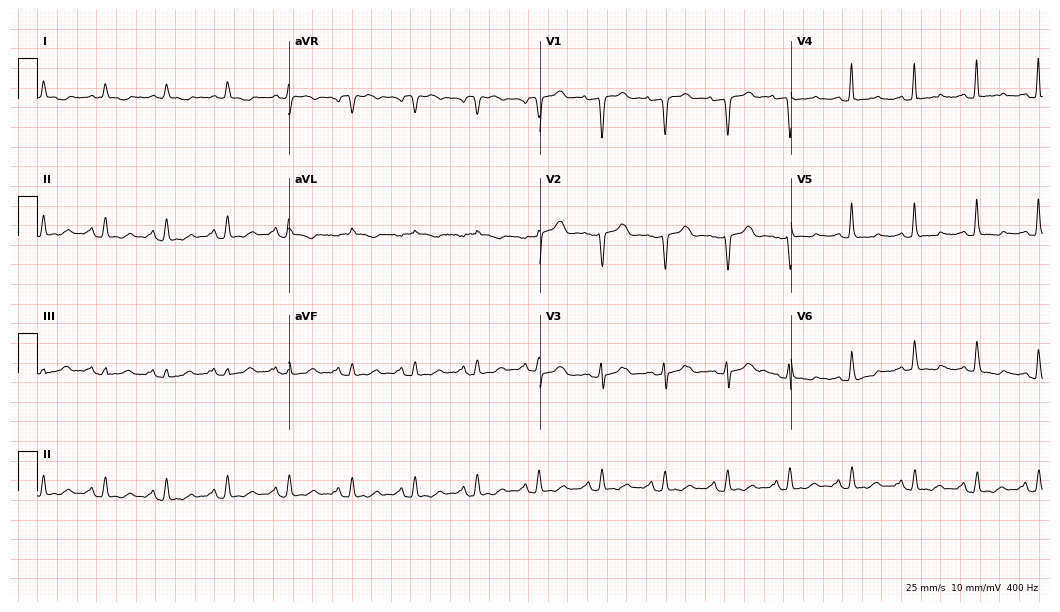
Standard 12-lead ECG recorded from a female patient, 66 years old. None of these six findings is recorded: first-degree AV block, right bundle branch block, left bundle branch block, sinus bradycardia, atrial fibrillation, sinus tachycardia. Findings outside these six are not listed.